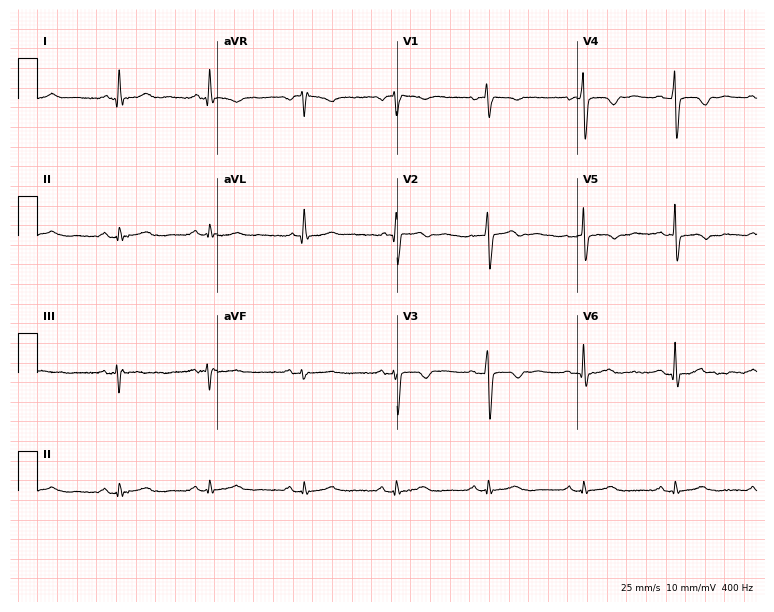
12-lead ECG from a 52-year-old woman. Screened for six findings — first-degree AV block, right bundle branch block, left bundle branch block, sinus bradycardia, atrial fibrillation, sinus tachycardia — none is recorded.